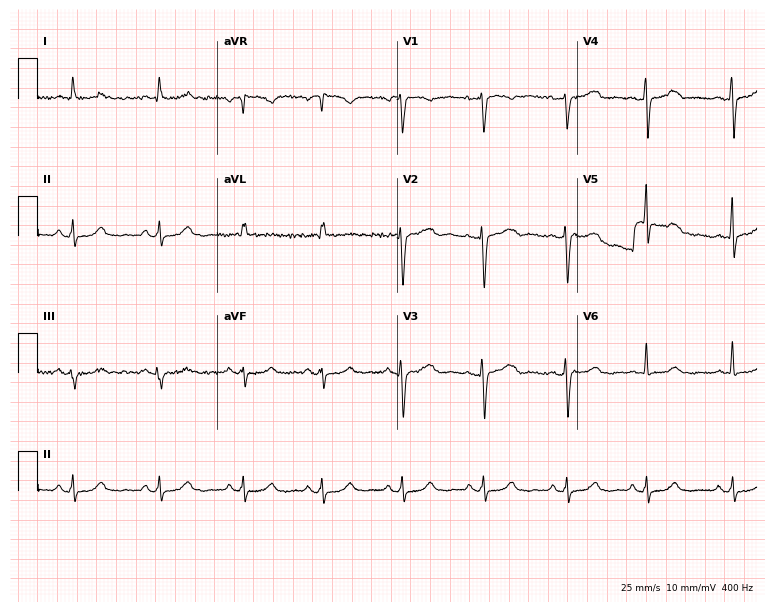
Electrocardiogram (7.3-second recording at 400 Hz), a female, 44 years old. Overall reading on record: normal ECG.